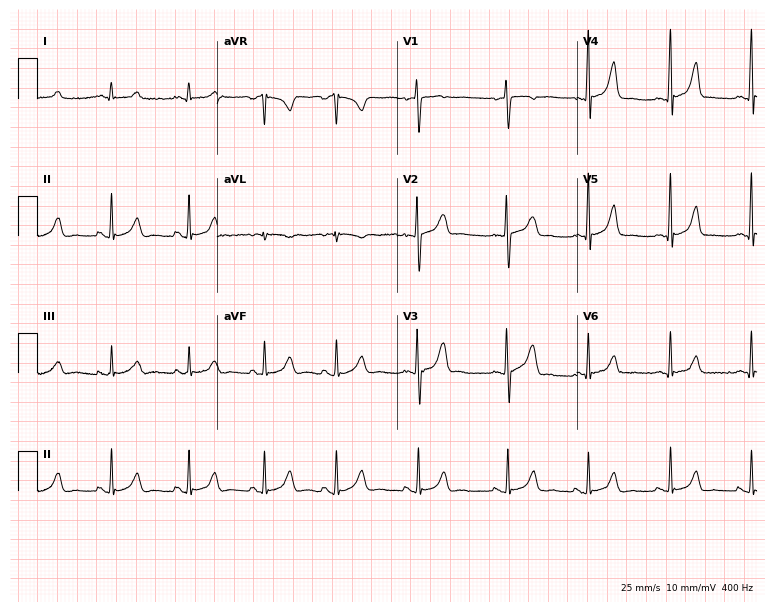
Resting 12-lead electrocardiogram (7.3-second recording at 400 Hz). Patient: a female, 19 years old. None of these six findings is recorded: first-degree AV block, right bundle branch block, left bundle branch block, sinus bradycardia, atrial fibrillation, sinus tachycardia. Findings outside these six are not listed.